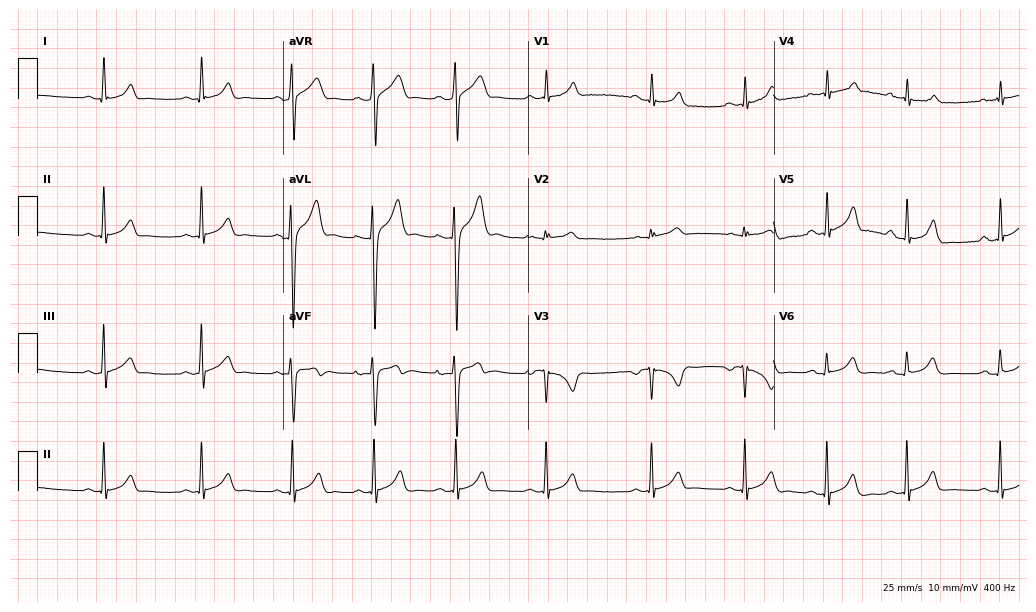
ECG (10-second recording at 400 Hz) — a male, 19 years old. Screened for six findings — first-degree AV block, right bundle branch block, left bundle branch block, sinus bradycardia, atrial fibrillation, sinus tachycardia — none is recorded.